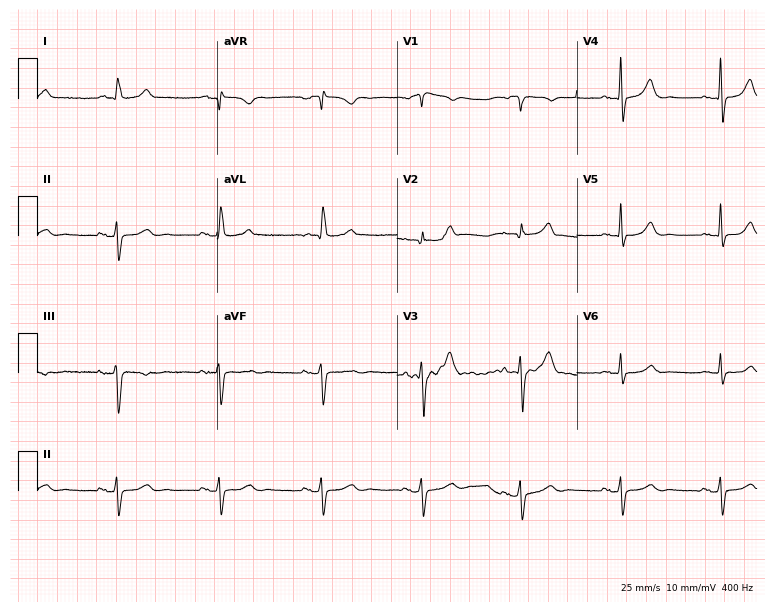
12-lead ECG from a male, 75 years old. Screened for six findings — first-degree AV block, right bundle branch block (RBBB), left bundle branch block (LBBB), sinus bradycardia, atrial fibrillation (AF), sinus tachycardia — none is recorded. Only these six findings were labelled.